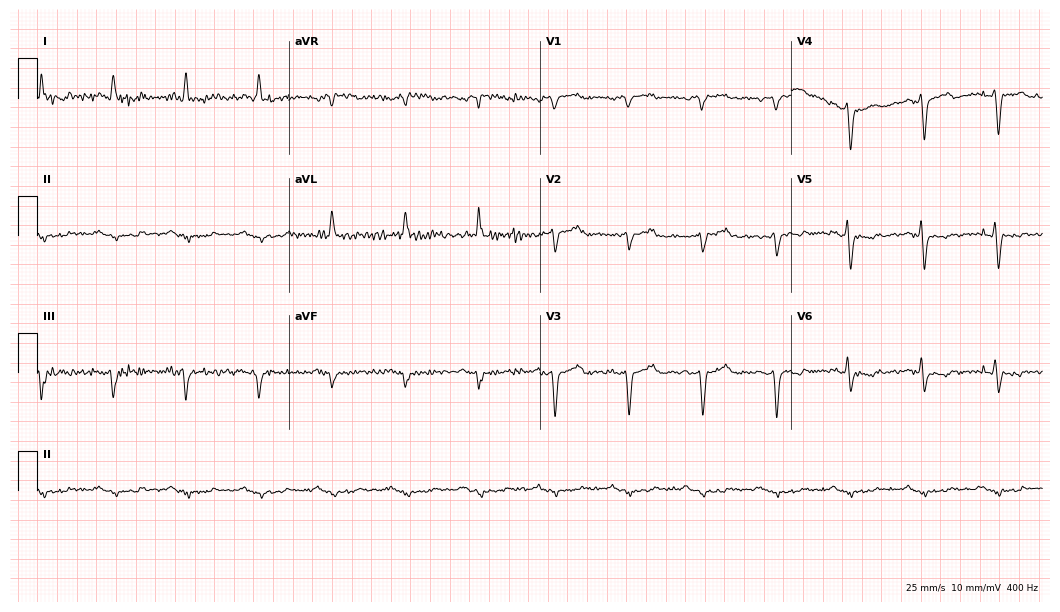
Standard 12-lead ECG recorded from a 70-year-old male patient (10.2-second recording at 400 Hz). None of these six findings is recorded: first-degree AV block, right bundle branch block (RBBB), left bundle branch block (LBBB), sinus bradycardia, atrial fibrillation (AF), sinus tachycardia. Only these six findings were labelled.